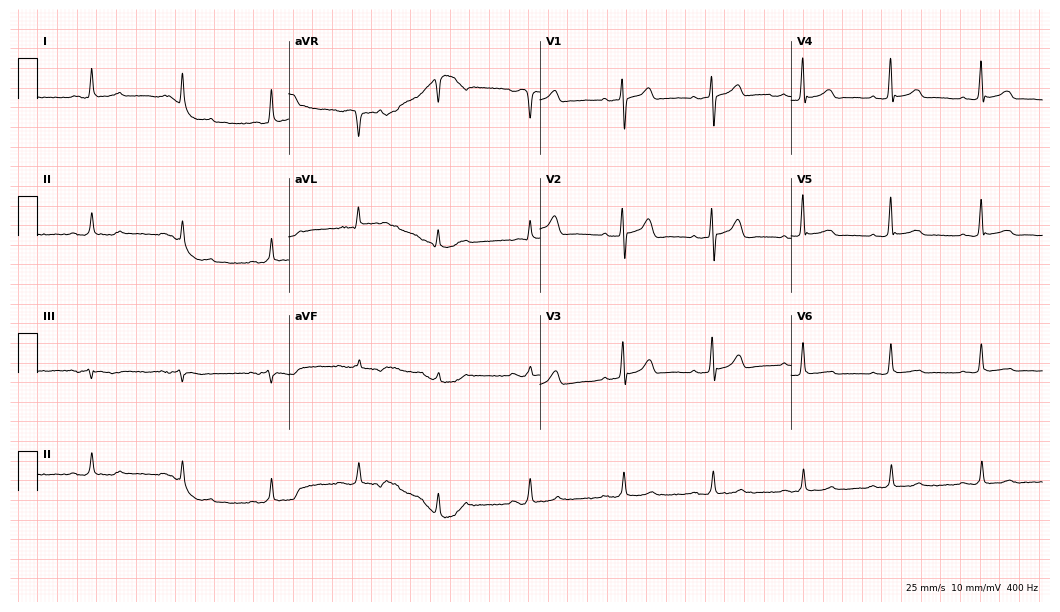
ECG (10.2-second recording at 400 Hz) — a female patient, 61 years old. Labelled as a normal ECG.